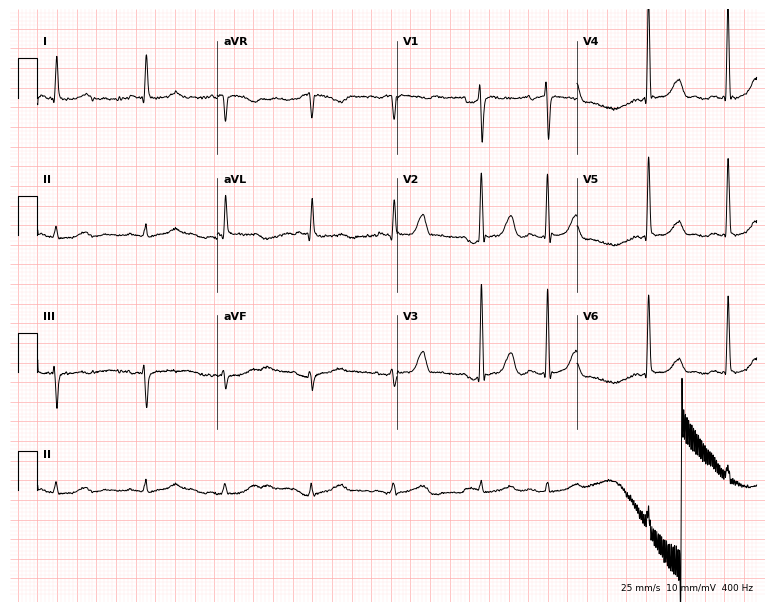
Electrocardiogram, a 78-year-old woman. Of the six screened findings (first-degree AV block, right bundle branch block (RBBB), left bundle branch block (LBBB), sinus bradycardia, atrial fibrillation (AF), sinus tachycardia), none is recorded.